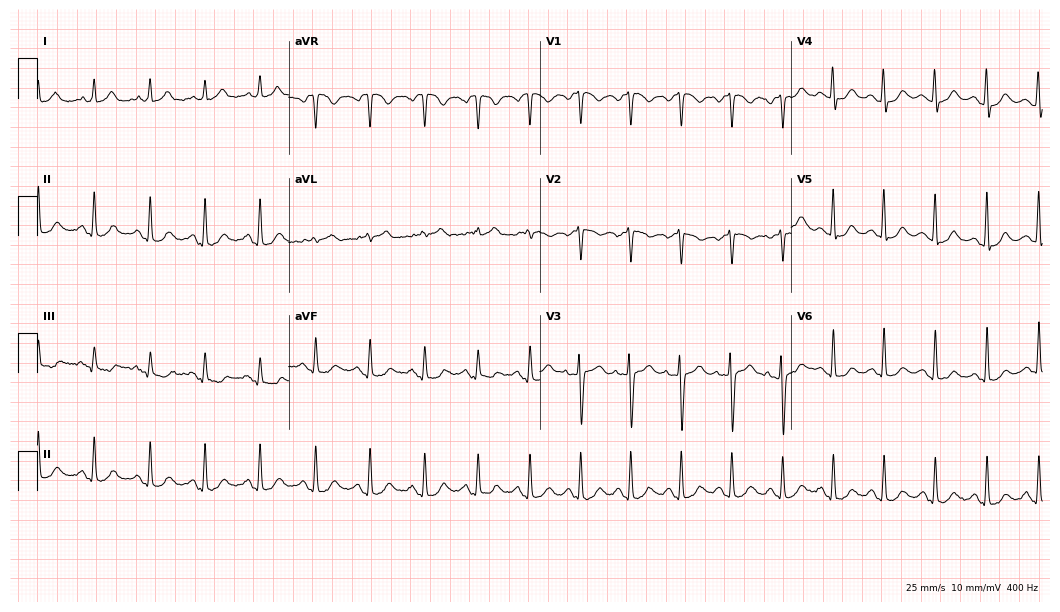
12-lead ECG from a female, 32 years old (10.2-second recording at 400 Hz). Shows sinus tachycardia (a sinus rate of 100 beats per minute or more).